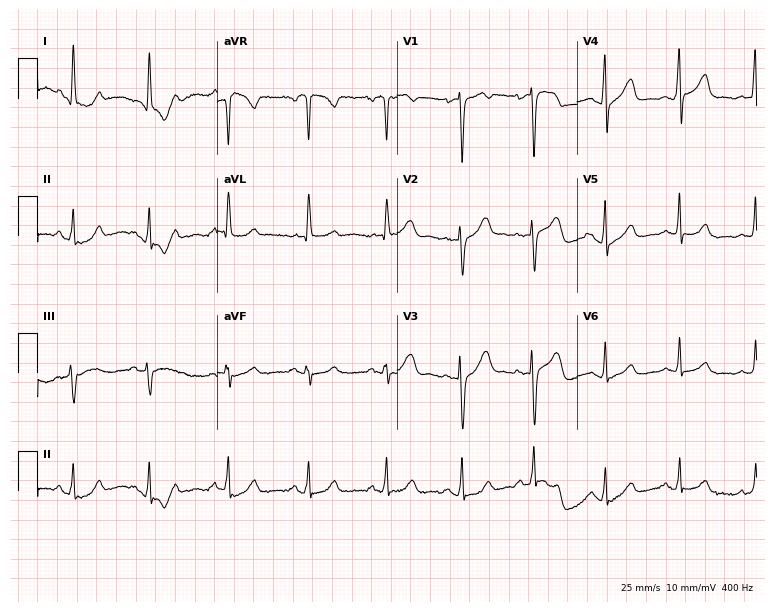
12-lead ECG from a female patient, 40 years old. Labelled as a normal ECG.